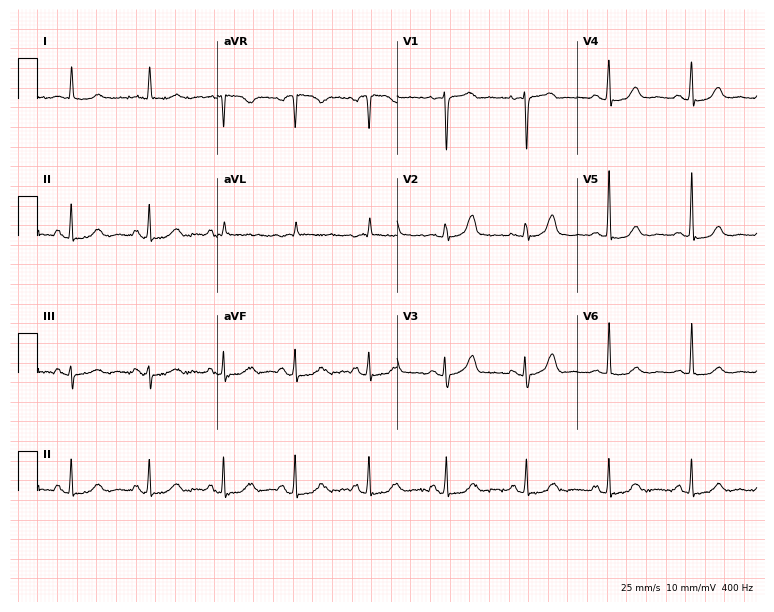
Resting 12-lead electrocardiogram (7.3-second recording at 400 Hz). Patient: a female, 75 years old. Read as a normal ECG.